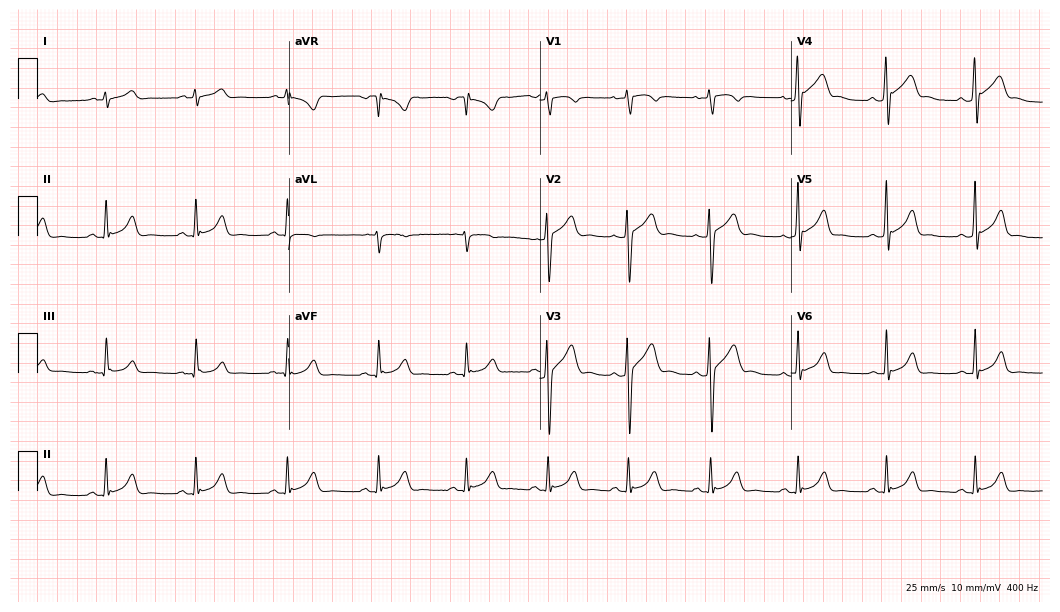
12-lead ECG from a man, 26 years old. No first-degree AV block, right bundle branch block, left bundle branch block, sinus bradycardia, atrial fibrillation or sinus tachycardia recorded for this tracing.